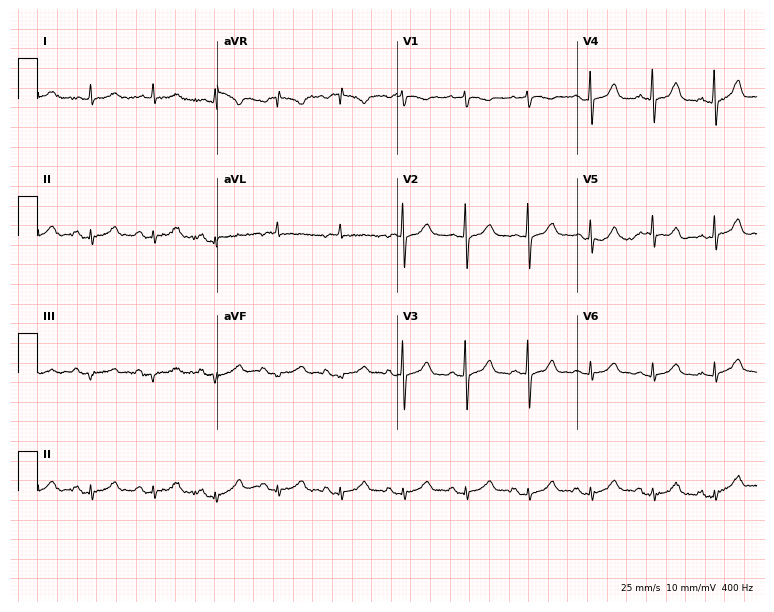
Electrocardiogram, a 78-year-old woman. Overall reading on record: normal ECG.